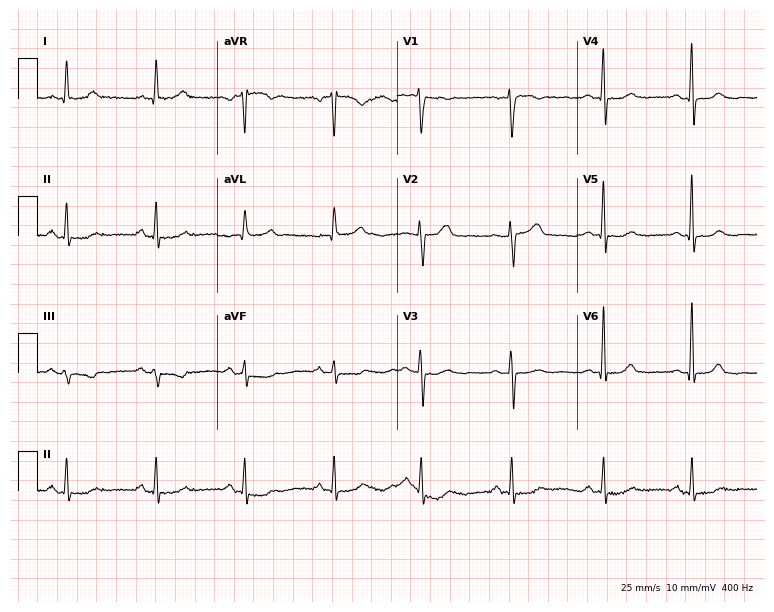
12-lead ECG from a 57-year-old female patient. Labelled as a normal ECG.